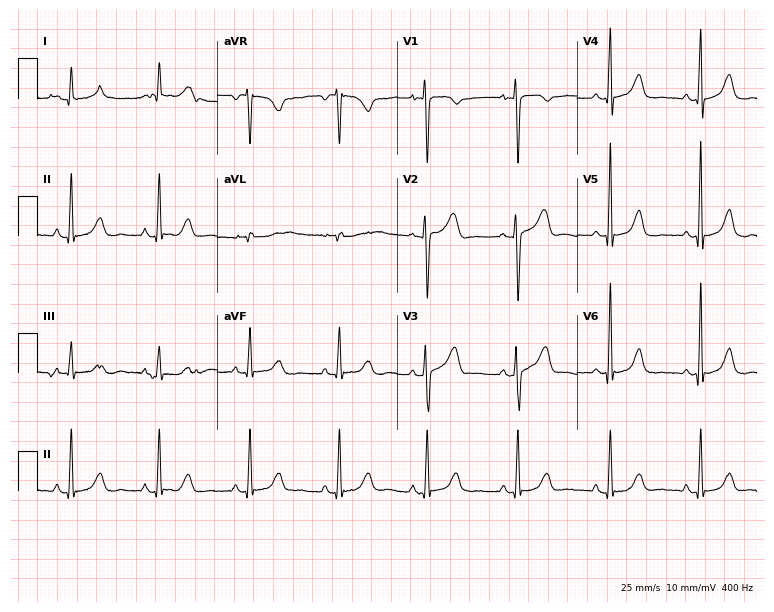
ECG — a woman, 57 years old. Screened for six findings — first-degree AV block, right bundle branch block, left bundle branch block, sinus bradycardia, atrial fibrillation, sinus tachycardia — none is recorded. Findings outside these six are not listed.